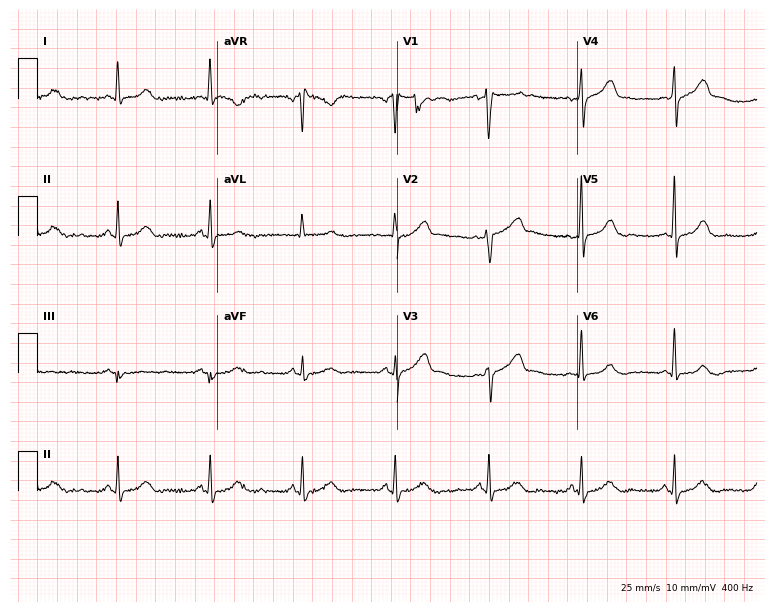
12-lead ECG from a male, 69 years old. Labelled as a normal ECG.